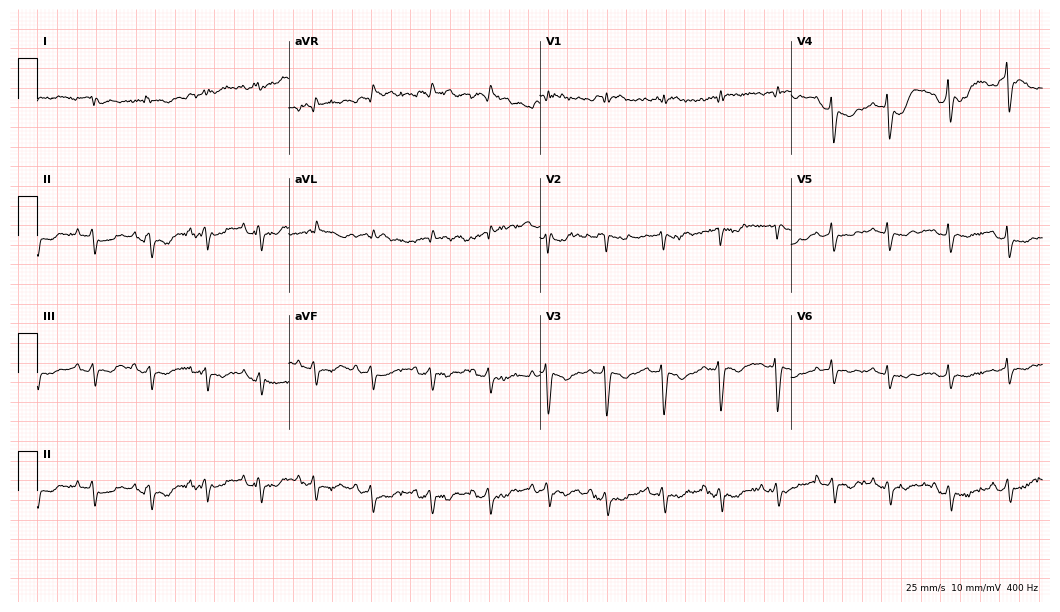
Resting 12-lead electrocardiogram (10.2-second recording at 400 Hz). Patient: an 85-year-old male. None of these six findings is recorded: first-degree AV block, right bundle branch block, left bundle branch block, sinus bradycardia, atrial fibrillation, sinus tachycardia.